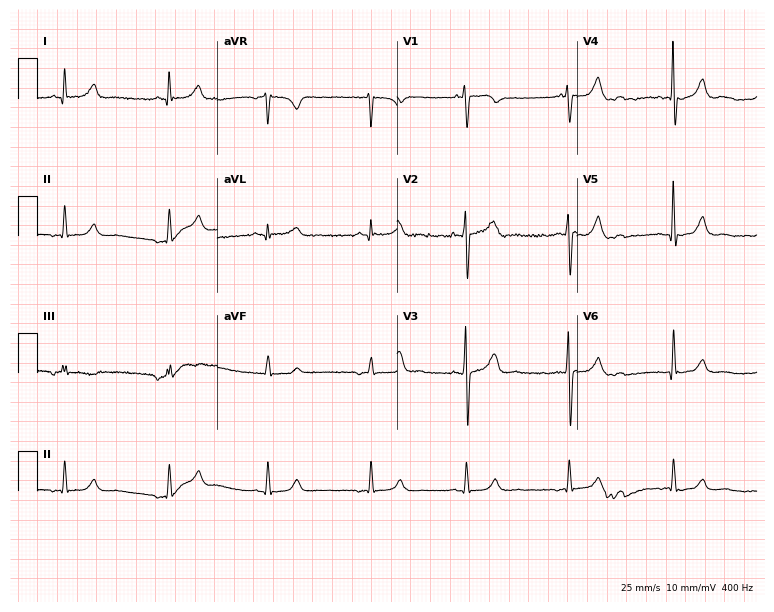
Standard 12-lead ECG recorded from a man, 62 years old (7.3-second recording at 400 Hz). None of these six findings is recorded: first-degree AV block, right bundle branch block, left bundle branch block, sinus bradycardia, atrial fibrillation, sinus tachycardia.